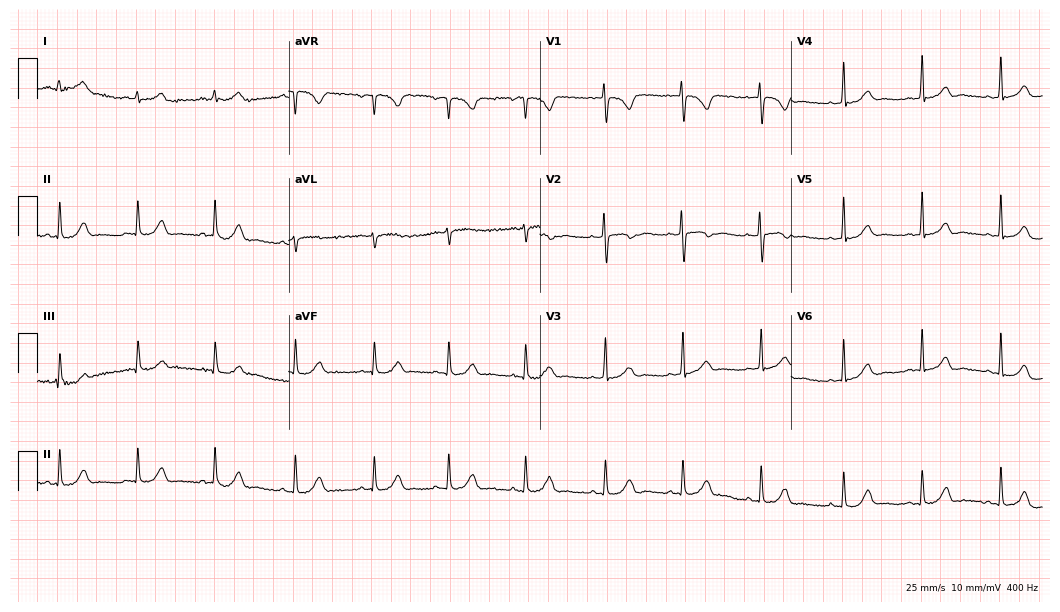
12-lead ECG (10.2-second recording at 400 Hz) from a 21-year-old woman. Labelled as a normal ECG.